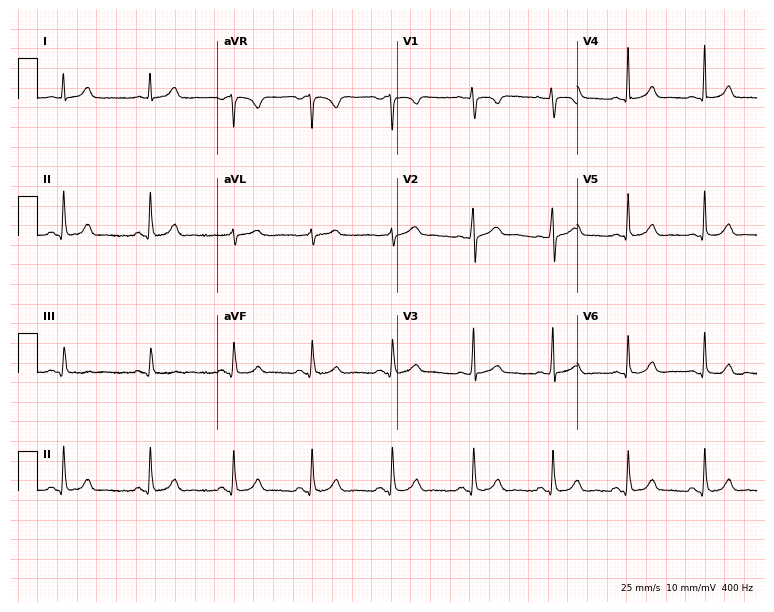
ECG — a female patient, 22 years old. Screened for six findings — first-degree AV block, right bundle branch block (RBBB), left bundle branch block (LBBB), sinus bradycardia, atrial fibrillation (AF), sinus tachycardia — none is recorded. Only these six findings were labelled.